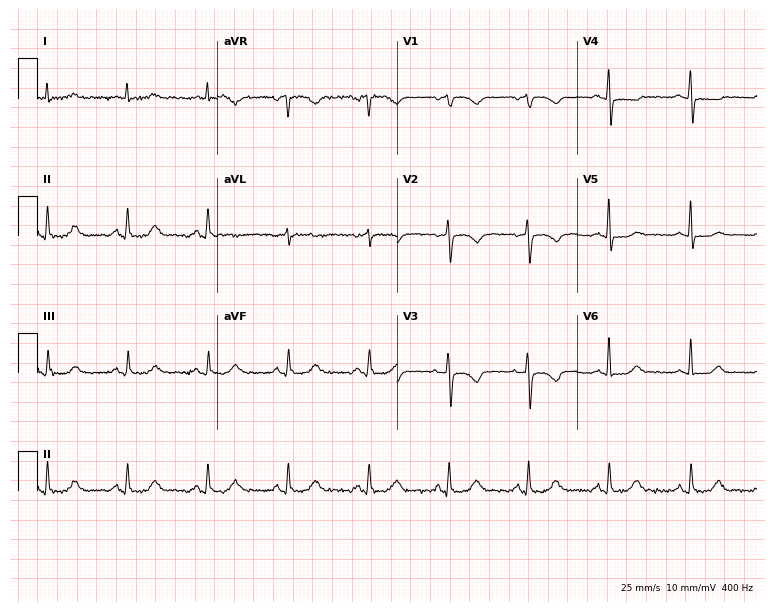
Resting 12-lead electrocardiogram. Patient: a woman, 61 years old. None of these six findings is recorded: first-degree AV block, right bundle branch block, left bundle branch block, sinus bradycardia, atrial fibrillation, sinus tachycardia. Only these six findings were labelled.